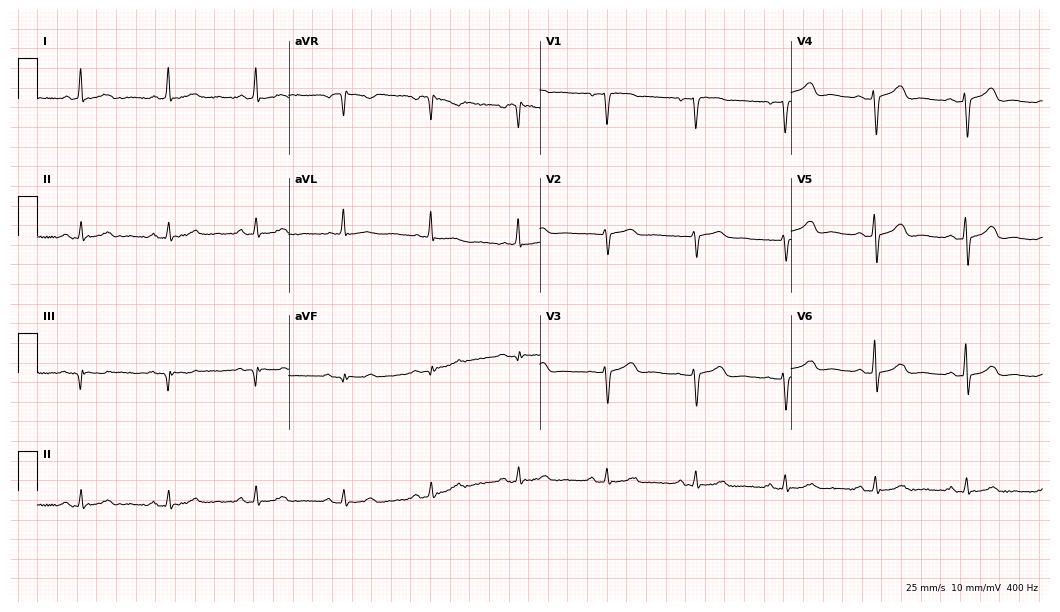
12-lead ECG (10.2-second recording at 400 Hz) from a female patient, 81 years old. Labelled as a normal ECG.